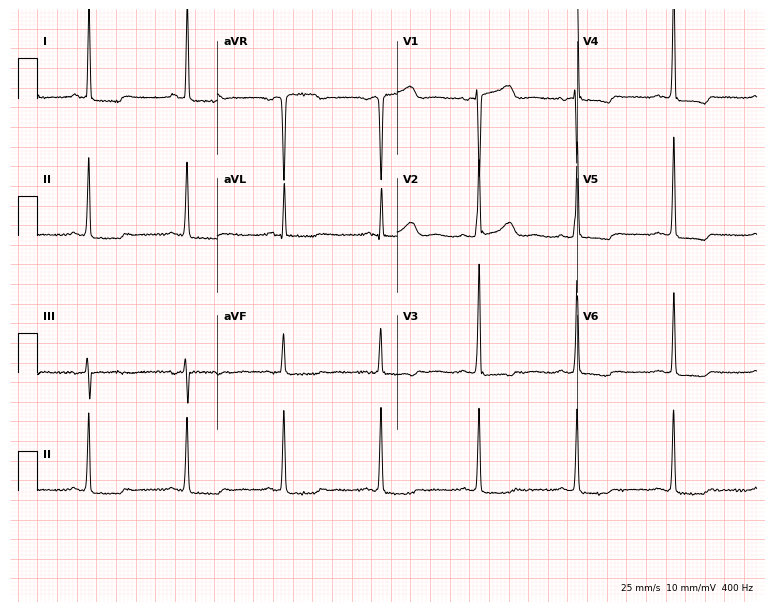
12-lead ECG from a woman, 84 years old (7.3-second recording at 400 Hz). No first-degree AV block, right bundle branch block (RBBB), left bundle branch block (LBBB), sinus bradycardia, atrial fibrillation (AF) or sinus tachycardia recorded for this tracing.